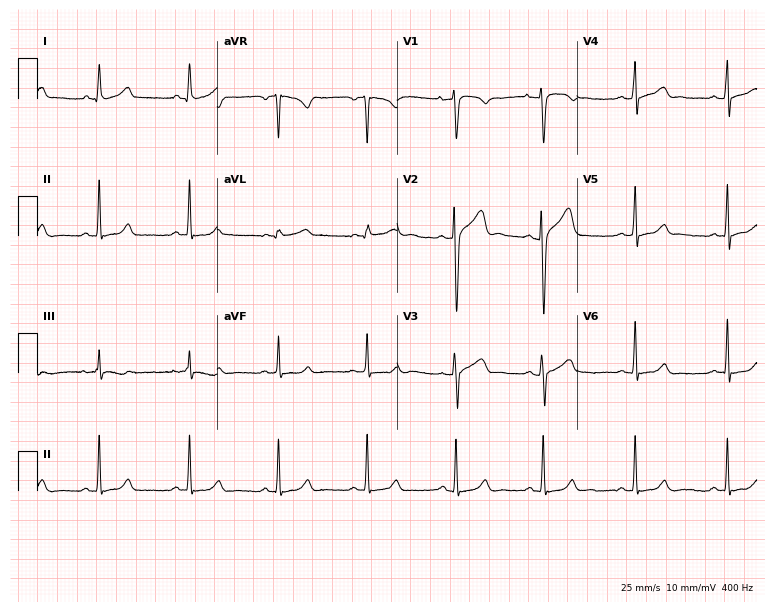
Electrocardiogram (7.3-second recording at 400 Hz), a 29-year-old male patient. Overall reading on record: normal ECG.